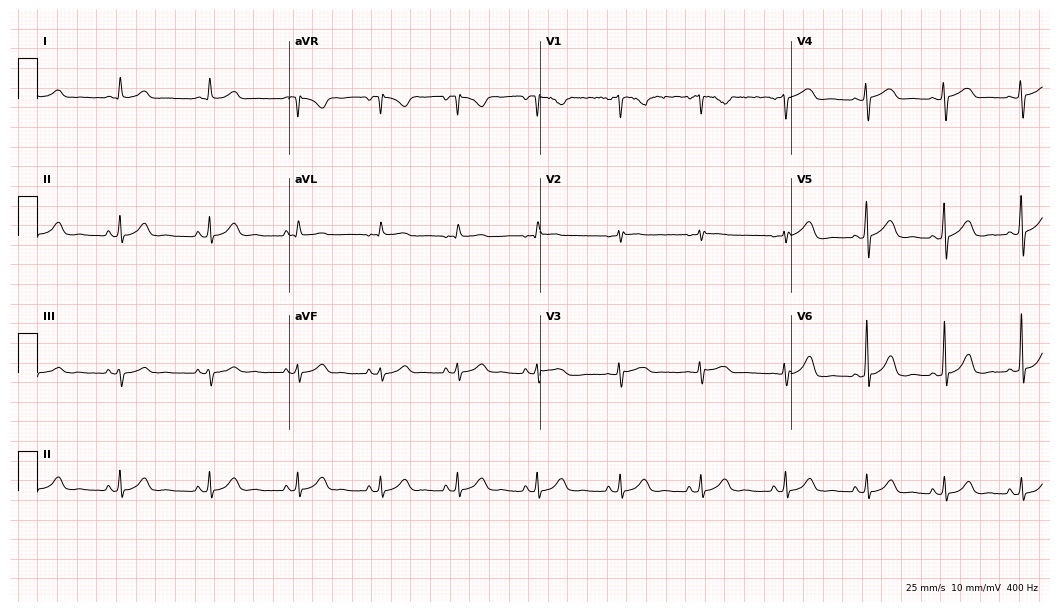
Standard 12-lead ECG recorded from a 48-year-old female patient (10.2-second recording at 400 Hz). Read as a normal ECG.